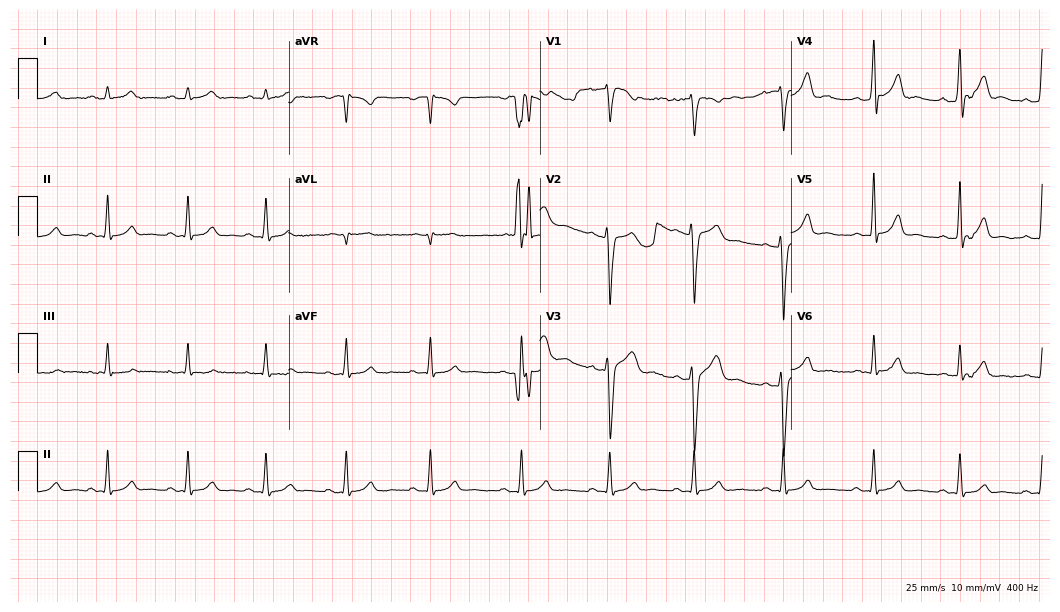
Standard 12-lead ECG recorded from a 26-year-old man. Read as a normal ECG.